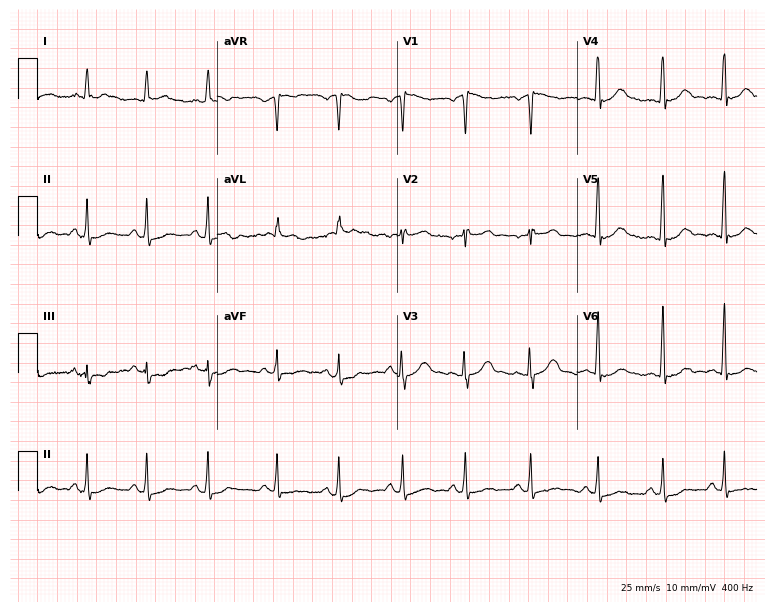
Standard 12-lead ECG recorded from a female patient, 43 years old. None of these six findings is recorded: first-degree AV block, right bundle branch block, left bundle branch block, sinus bradycardia, atrial fibrillation, sinus tachycardia.